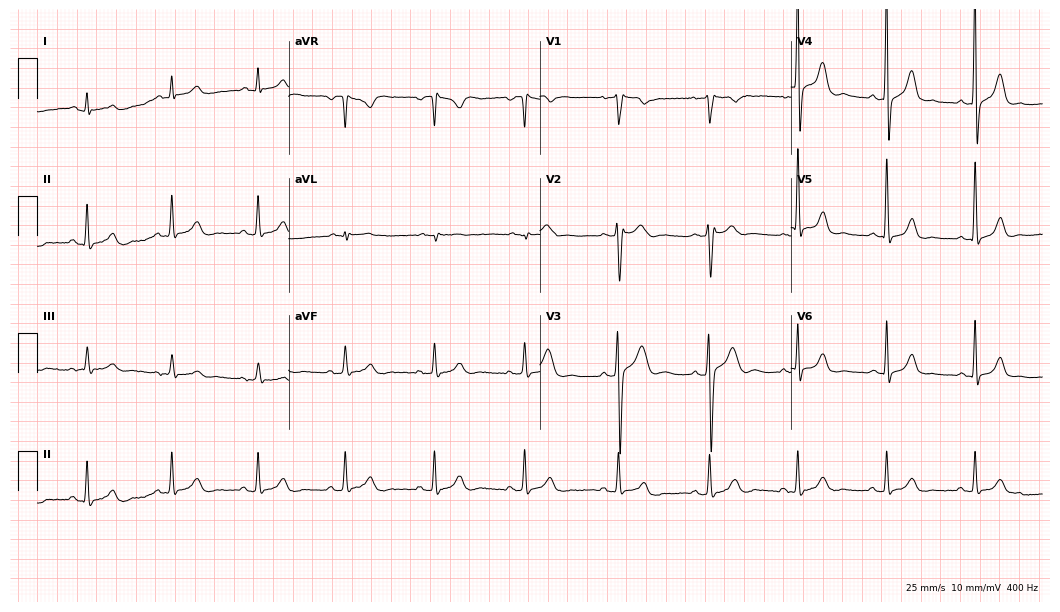
12-lead ECG from a male patient, 47 years old. Recorded interpretation: within normal limits.